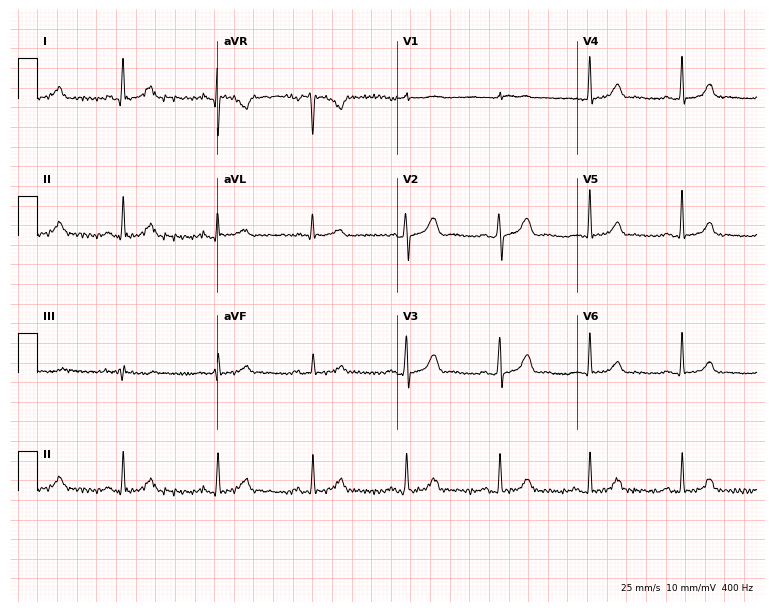
12-lead ECG from a 45-year-old man (7.3-second recording at 400 Hz). Recorded interpretation: within normal limits.